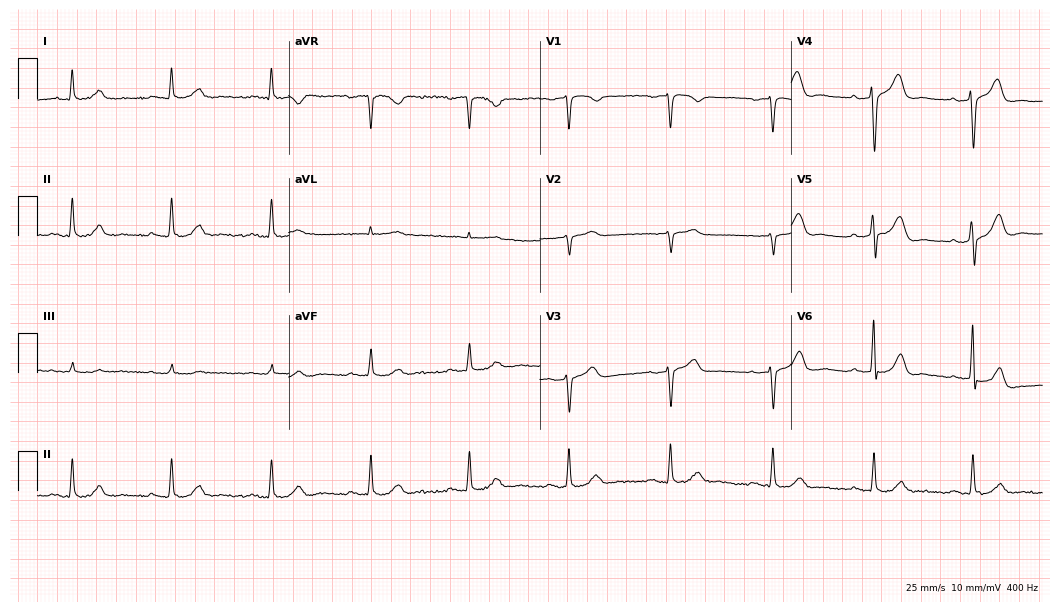
12-lead ECG from a male patient, 75 years old (10.2-second recording at 400 Hz). Recorded interpretation: within normal limits.